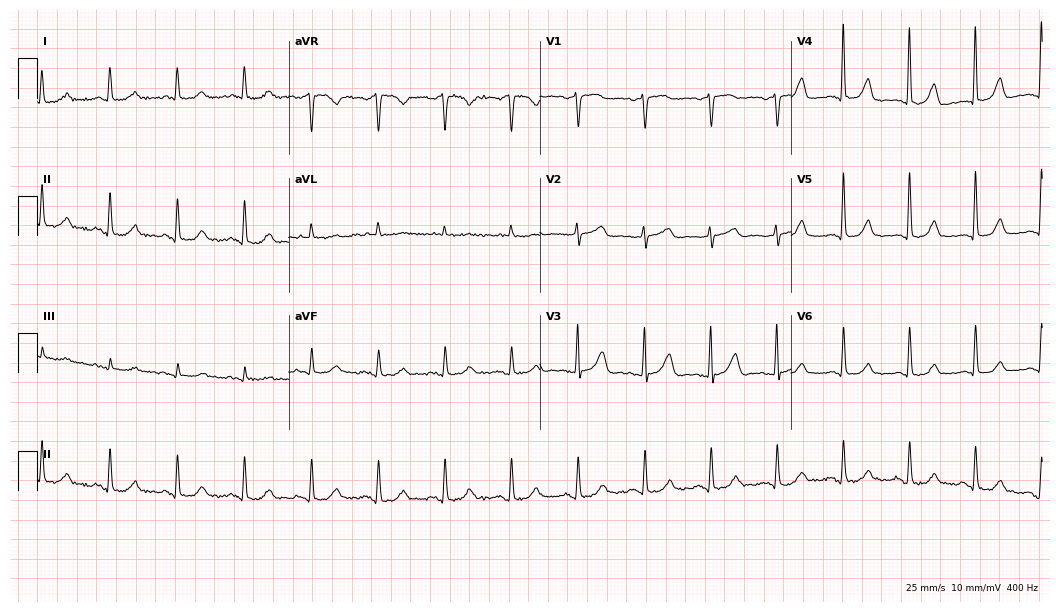
ECG — a 73-year-old woman. Labelled as a normal ECG.